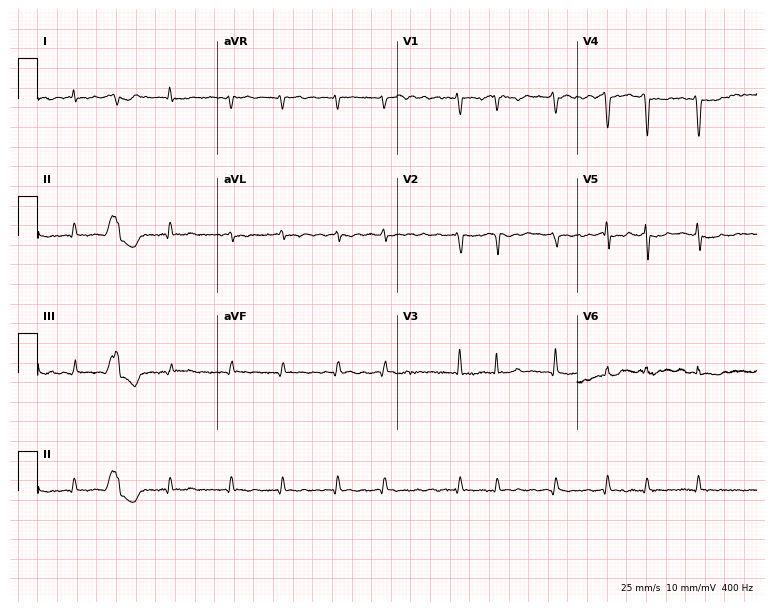
Standard 12-lead ECG recorded from a 72-year-old female patient (7.3-second recording at 400 Hz). The tracing shows atrial fibrillation.